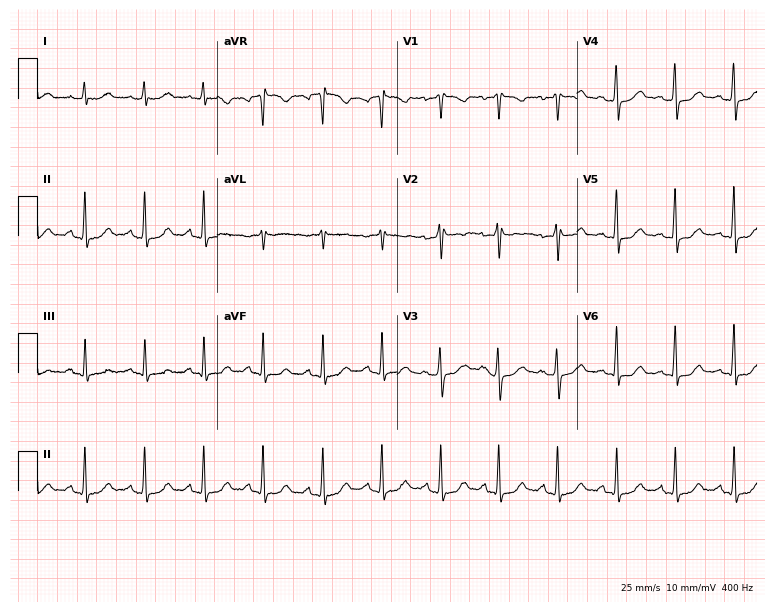
ECG (7.3-second recording at 400 Hz) — a 42-year-old female patient. Screened for six findings — first-degree AV block, right bundle branch block, left bundle branch block, sinus bradycardia, atrial fibrillation, sinus tachycardia — none is recorded. Findings outside these six are not listed.